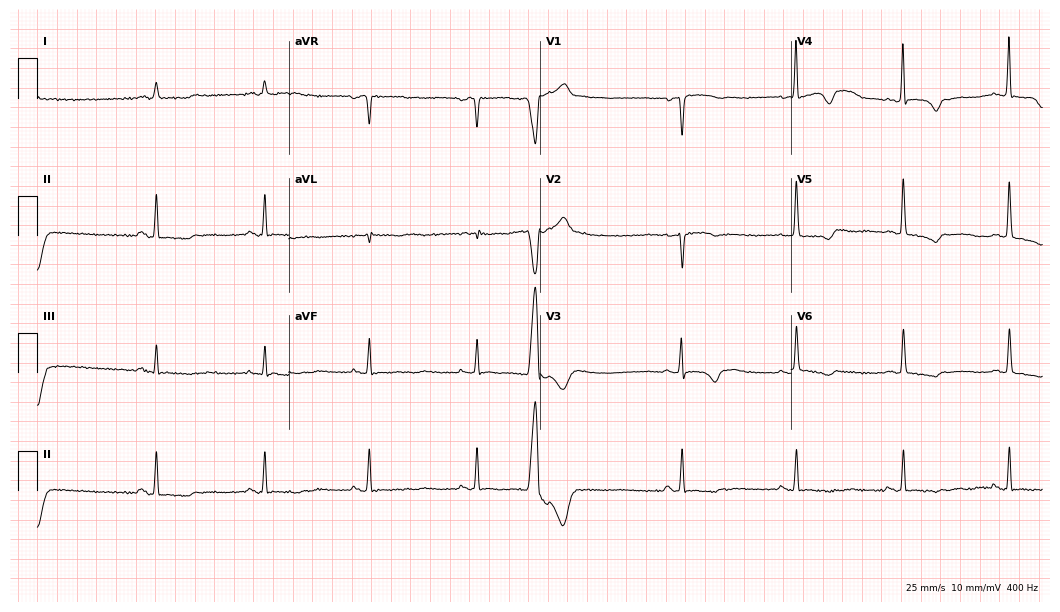
12-lead ECG (10.2-second recording at 400 Hz) from a female, 70 years old. Screened for six findings — first-degree AV block, right bundle branch block, left bundle branch block, sinus bradycardia, atrial fibrillation, sinus tachycardia — none is recorded. Findings outside these six are not listed.